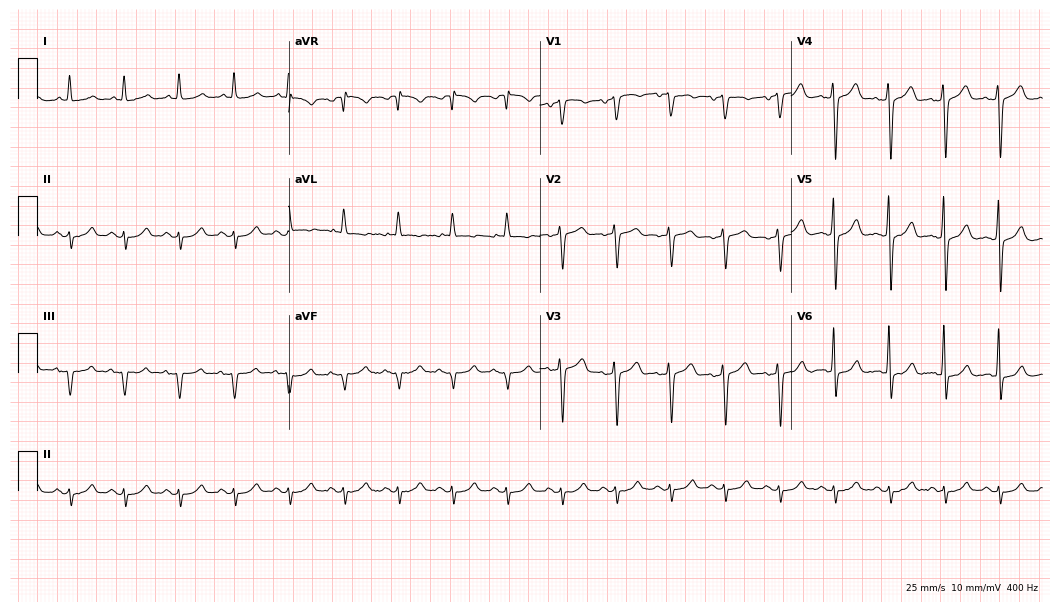
Electrocardiogram (10.2-second recording at 400 Hz), a male, 86 years old. Interpretation includes sinus tachycardia (a sinus rate of 100 beats per minute or more).